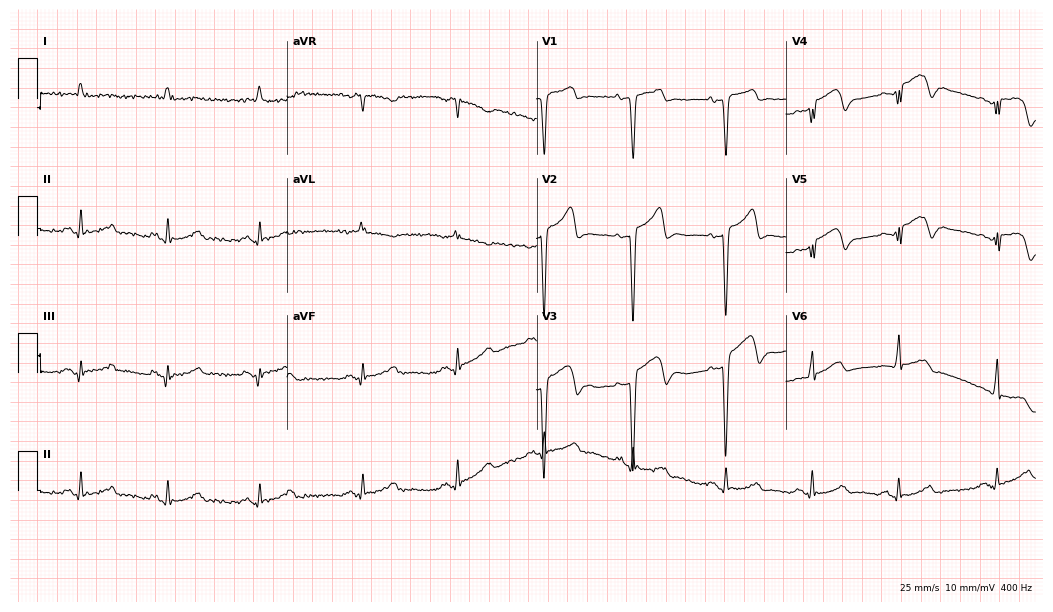
Standard 12-lead ECG recorded from a 63-year-old man (10.2-second recording at 400 Hz). None of these six findings is recorded: first-degree AV block, right bundle branch block (RBBB), left bundle branch block (LBBB), sinus bradycardia, atrial fibrillation (AF), sinus tachycardia. Only these six findings were labelled.